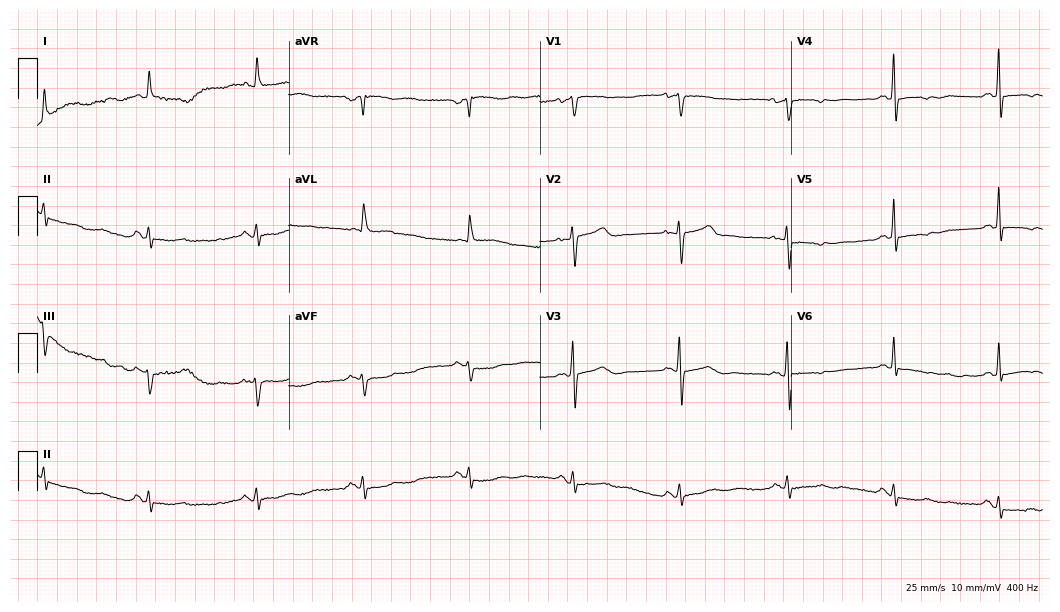
ECG — a woman, 78 years old. Screened for six findings — first-degree AV block, right bundle branch block, left bundle branch block, sinus bradycardia, atrial fibrillation, sinus tachycardia — none is recorded. Other findings, if any, are not listed.